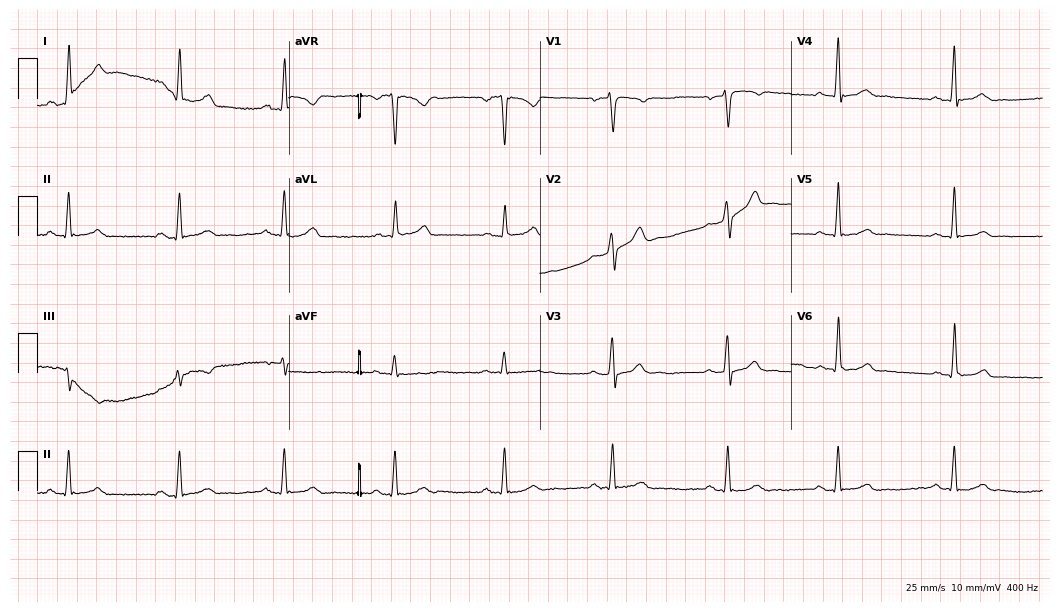
ECG — a female patient, 36 years old. Labelled as a normal ECG.